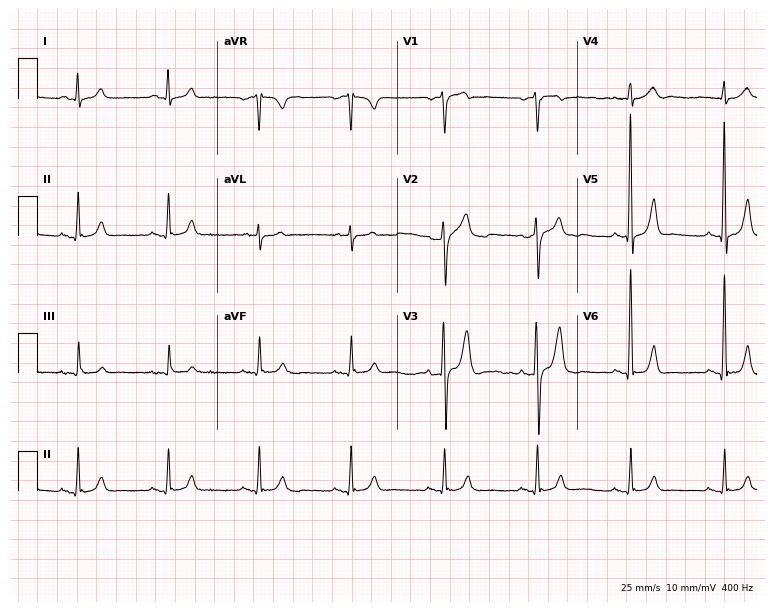
12-lead ECG from an 81-year-old male. No first-degree AV block, right bundle branch block, left bundle branch block, sinus bradycardia, atrial fibrillation or sinus tachycardia recorded for this tracing.